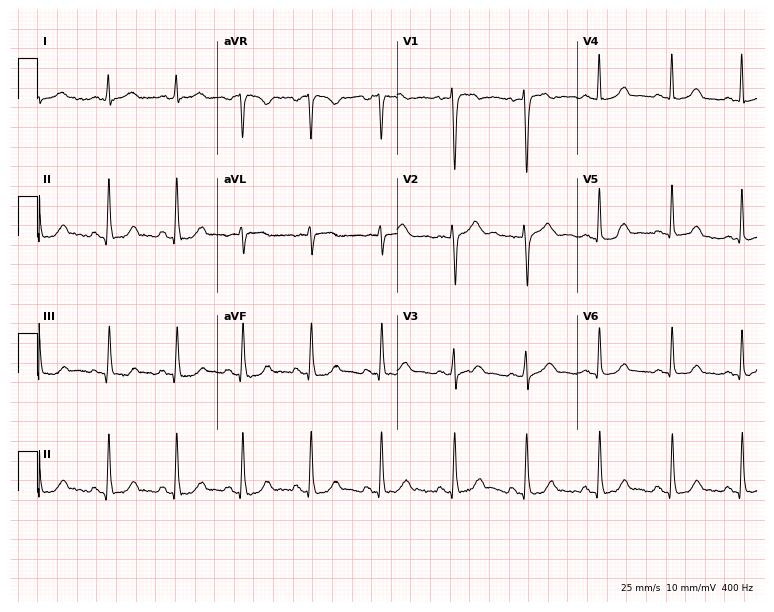
Electrocardiogram (7.3-second recording at 400 Hz), a woman, 43 years old. Overall reading on record: normal ECG.